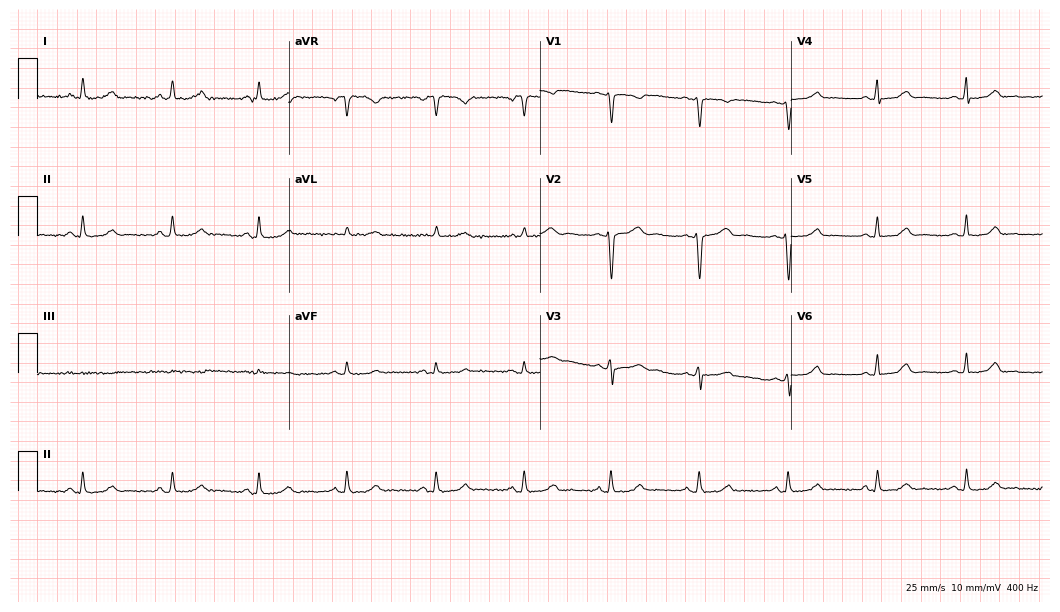
ECG — a woman, 41 years old. Labelled as a normal ECG.